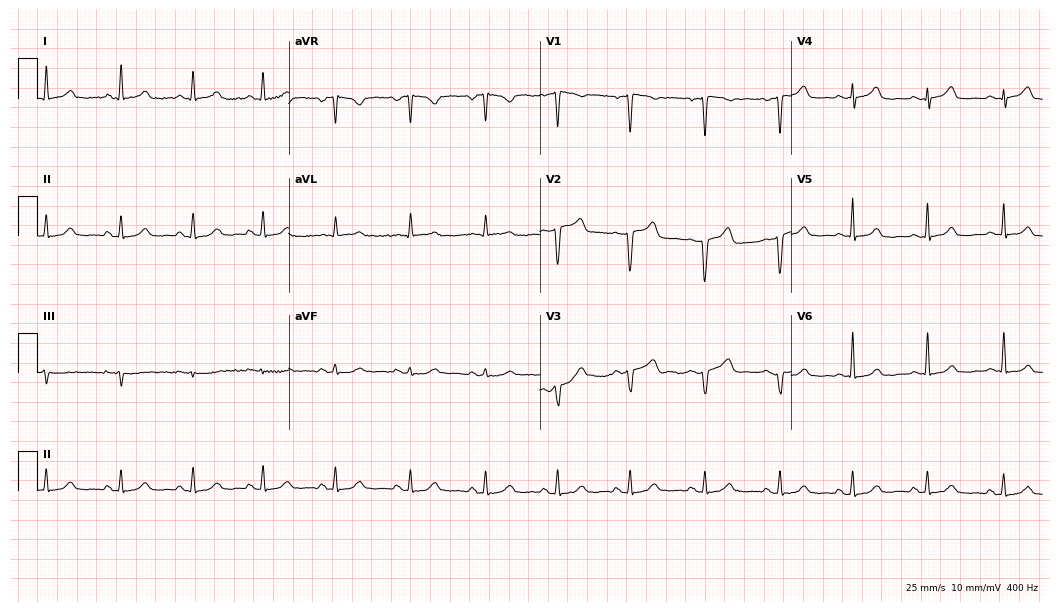
Resting 12-lead electrocardiogram (10.2-second recording at 400 Hz). Patient: a woman, 41 years old. None of these six findings is recorded: first-degree AV block, right bundle branch block, left bundle branch block, sinus bradycardia, atrial fibrillation, sinus tachycardia. Only these six findings were labelled.